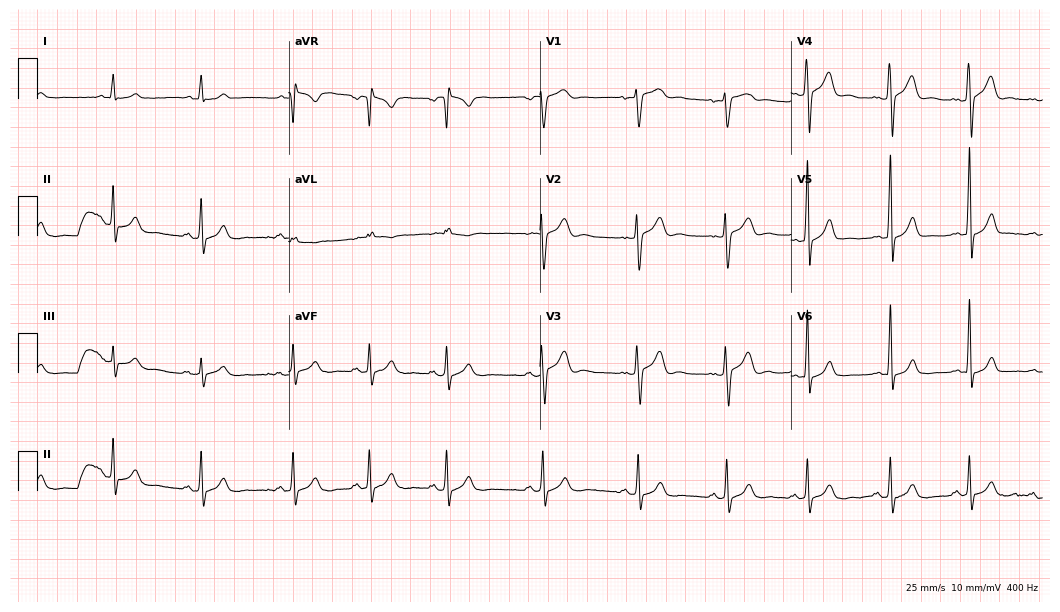
12-lead ECG (10.2-second recording at 400 Hz) from a male patient, 18 years old. Labelled as a normal ECG.